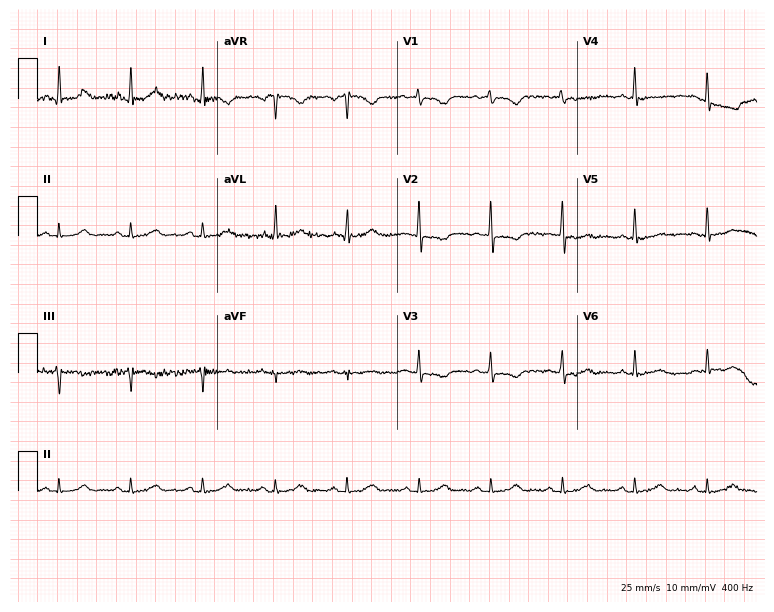
Resting 12-lead electrocardiogram. Patient: a woman, 53 years old. None of these six findings is recorded: first-degree AV block, right bundle branch block, left bundle branch block, sinus bradycardia, atrial fibrillation, sinus tachycardia. Findings outside these six are not listed.